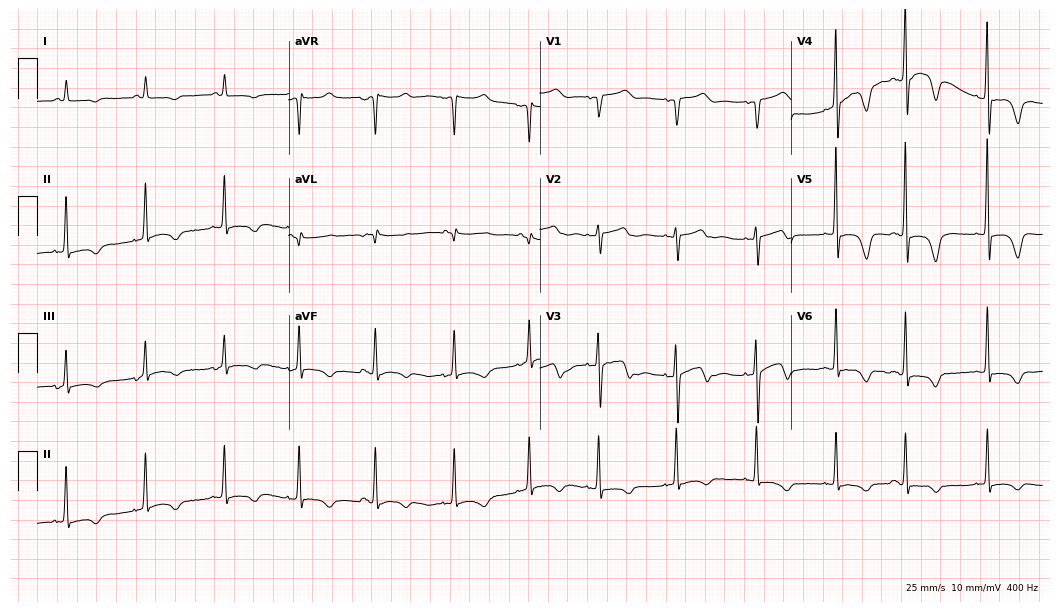
Electrocardiogram (10.2-second recording at 400 Hz), a female patient, 68 years old. Of the six screened findings (first-degree AV block, right bundle branch block, left bundle branch block, sinus bradycardia, atrial fibrillation, sinus tachycardia), none is recorded. Findings outside these six are not listed.